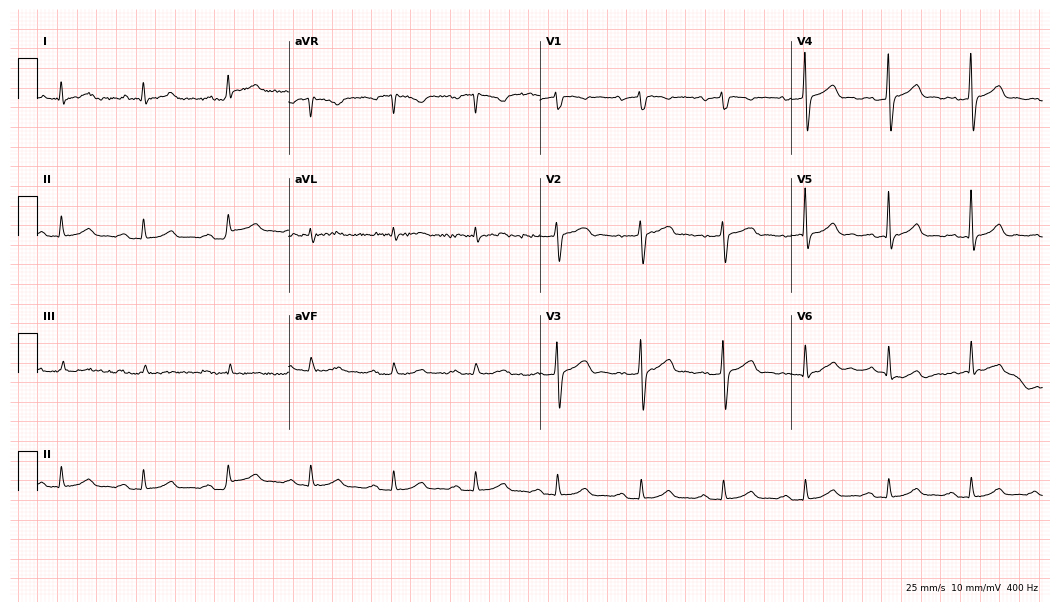
ECG (10.2-second recording at 400 Hz) — an 83-year-old male. Findings include first-degree AV block.